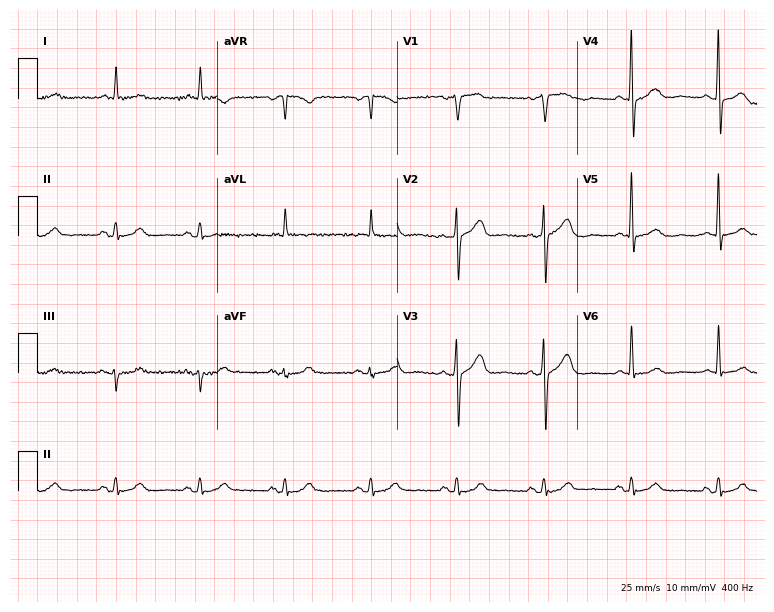
ECG — a man, 78 years old. Screened for six findings — first-degree AV block, right bundle branch block (RBBB), left bundle branch block (LBBB), sinus bradycardia, atrial fibrillation (AF), sinus tachycardia — none is recorded. Only these six findings were labelled.